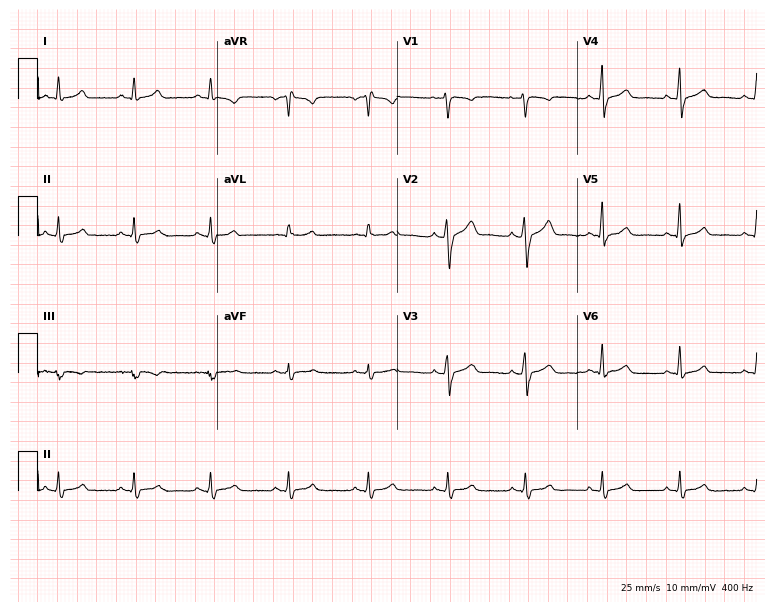
ECG (7.3-second recording at 400 Hz) — a 49-year-old man. Labelled as a normal ECG.